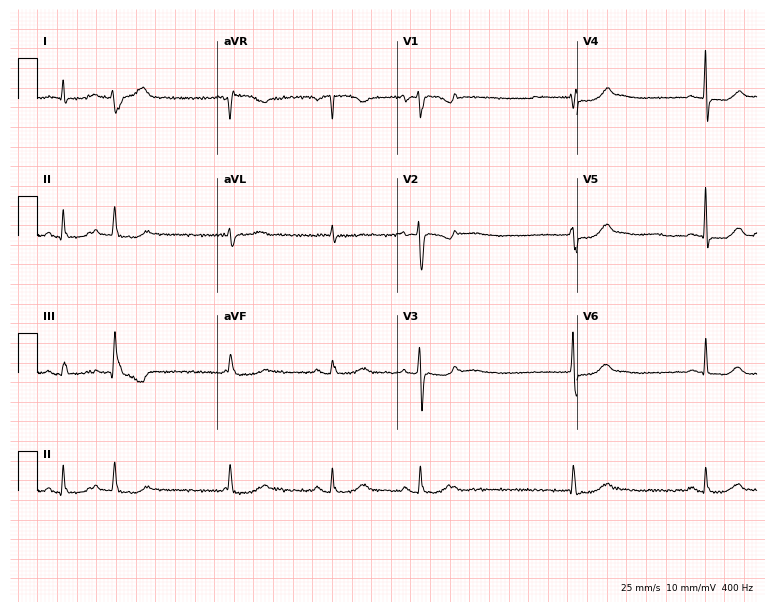
Resting 12-lead electrocardiogram. Patient: a woman, 72 years old. None of these six findings is recorded: first-degree AV block, right bundle branch block, left bundle branch block, sinus bradycardia, atrial fibrillation, sinus tachycardia. Only these six findings were labelled.